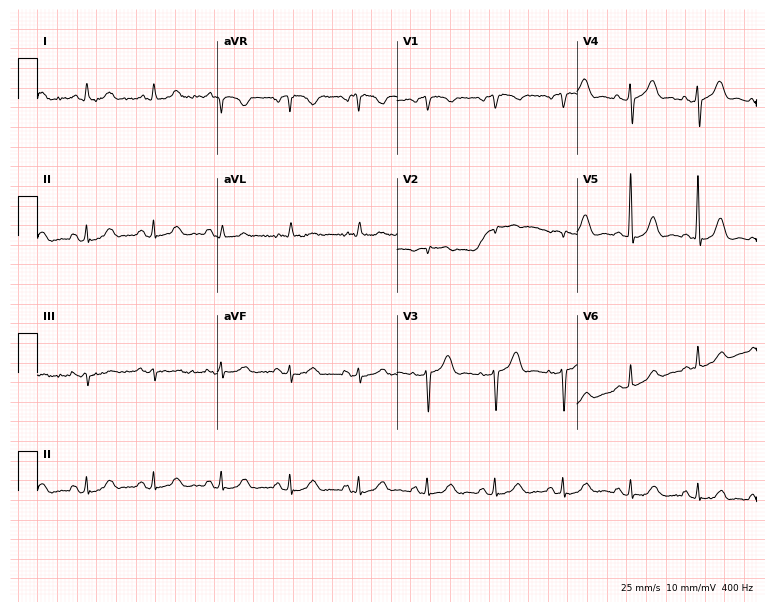
Resting 12-lead electrocardiogram. Patient: a female, 72 years old. None of these six findings is recorded: first-degree AV block, right bundle branch block (RBBB), left bundle branch block (LBBB), sinus bradycardia, atrial fibrillation (AF), sinus tachycardia.